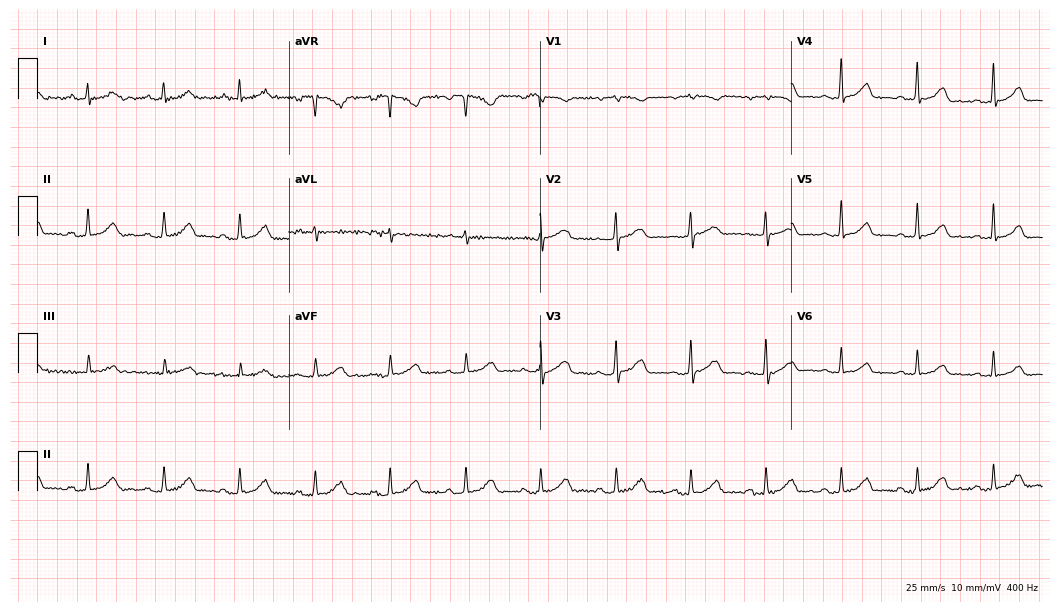
Standard 12-lead ECG recorded from a female patient, 59 years old (10.2-second recording at 400 Hz). Read as a normal ECG.